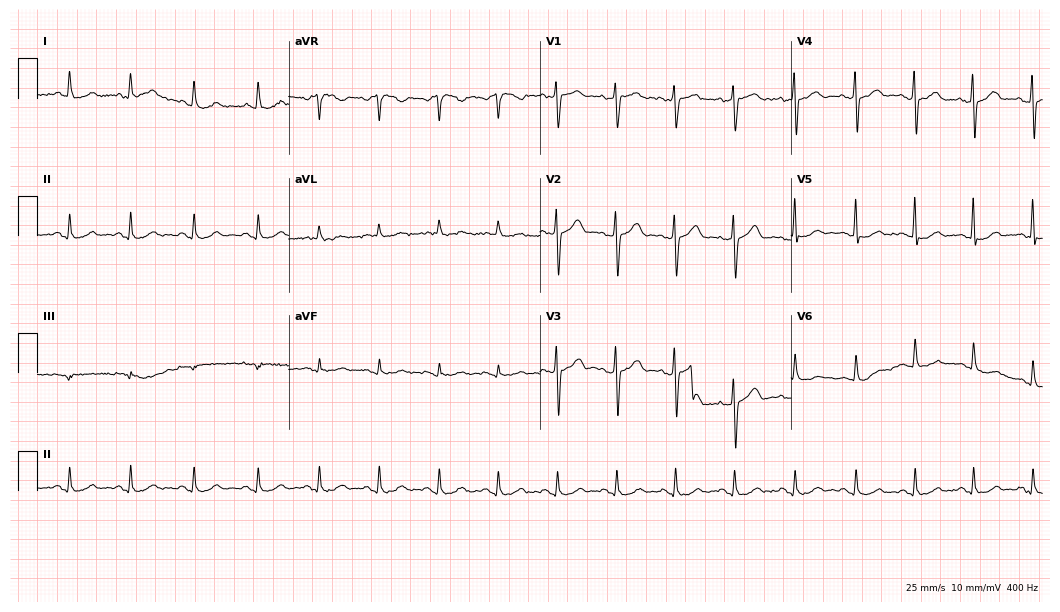
ECG — a 60-year-old female. Labelled as a normal ECG.